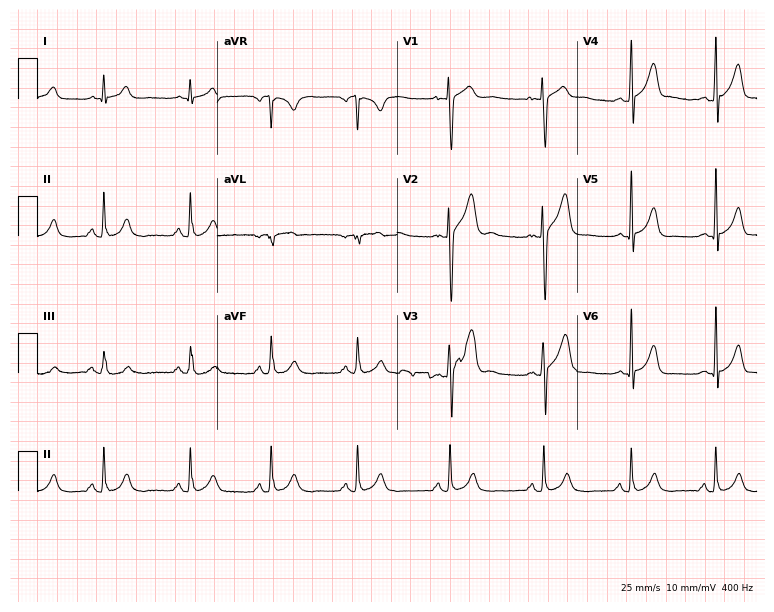
Electrocardiogram (7.3-second recording at 400 Hz), a 17-year-old male. Of the six screened findings (first-degree AV block, right bundle branch block, left bundle branch block, sinus bradycardia, atrial fibrillation, sinus tachycardia), none is recorded. Only these six findings were labelled.